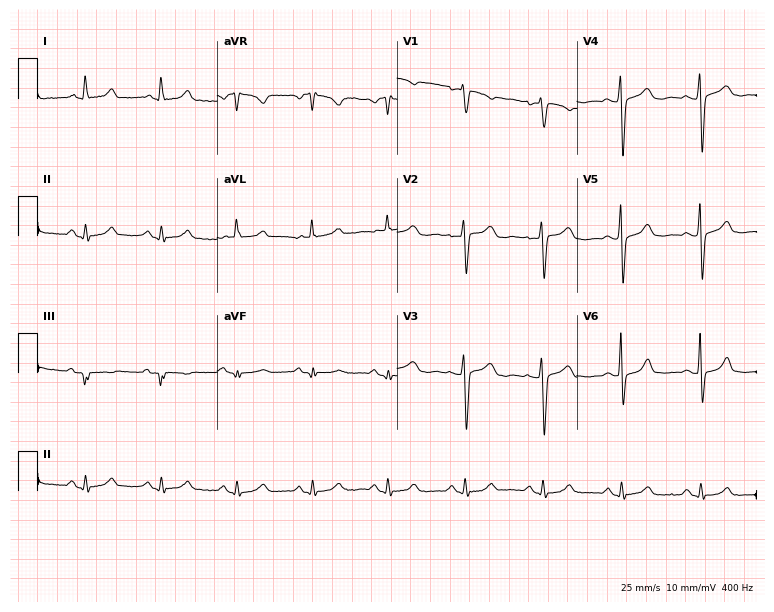
Resting 12-lead electrocardiogram (7.3-second recording at 400 Hz). Patient: a female, 52 years old. None of these six findings is recorded: first-degree AV block, right bundle branch block (RBBB), left bundle branch block (LBBB), sinus bradycardia, atrial fibrillation (AF), sinus tachycardia.